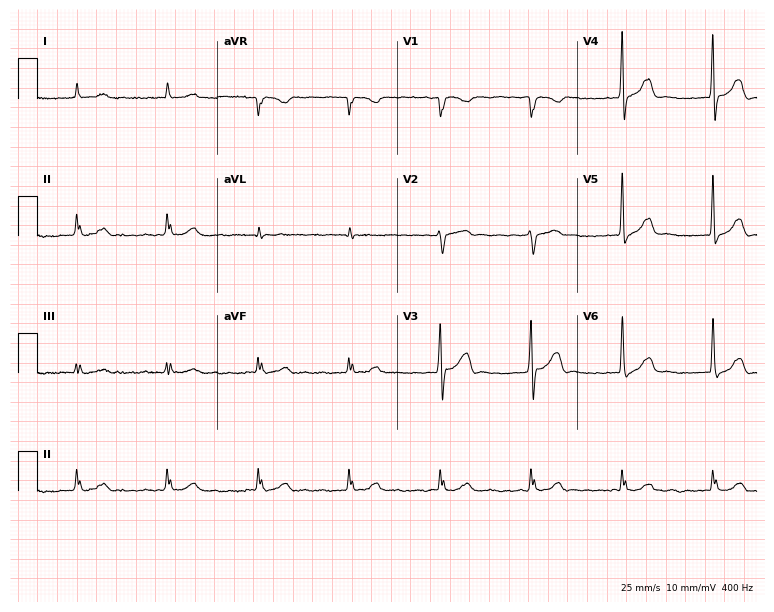
ECG — a male, 78 years old. Screened for six findings — first-degree AV block, right bundle branch block, left bundle branch block, sinus bradycardia, atrial fibrillation, sinus tachycardia — none is recorded. Findings outside these six are not listed.